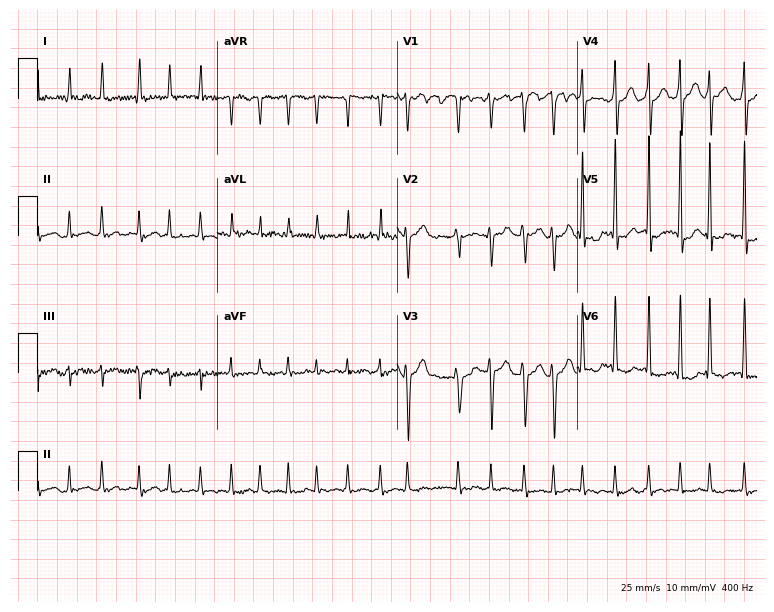
Standard 12-lead ECG recorded from a 66-year-old male (7.3-second recording at 400 Hz). The tracing shows atrial fibrillation.